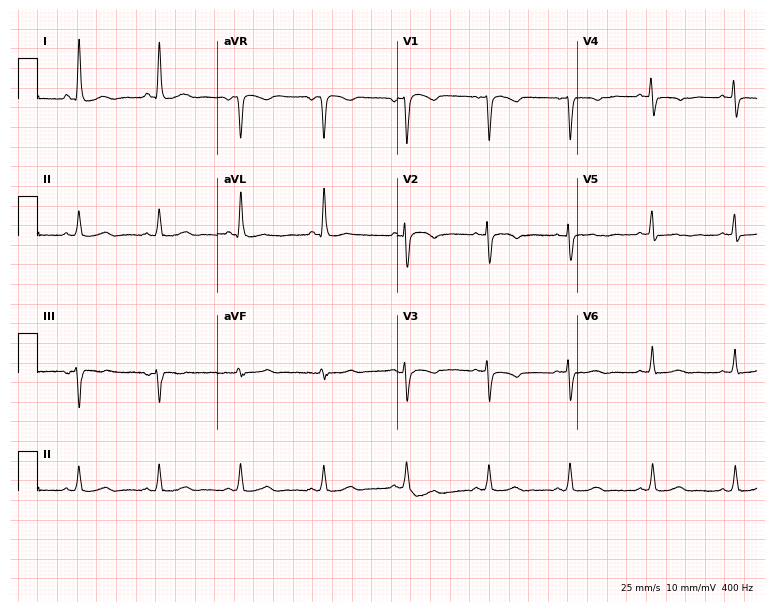
12-lead ECG (7.3-second recording at 400 Hz) from a 63-year-old woman. Screened for six findings — first-degree AV block, right bundle branch block, left bundle branch block, sinus bradycardia, atrial fibrillation, sinus tachycardia — none is recorded. Only these six findings were labelled.